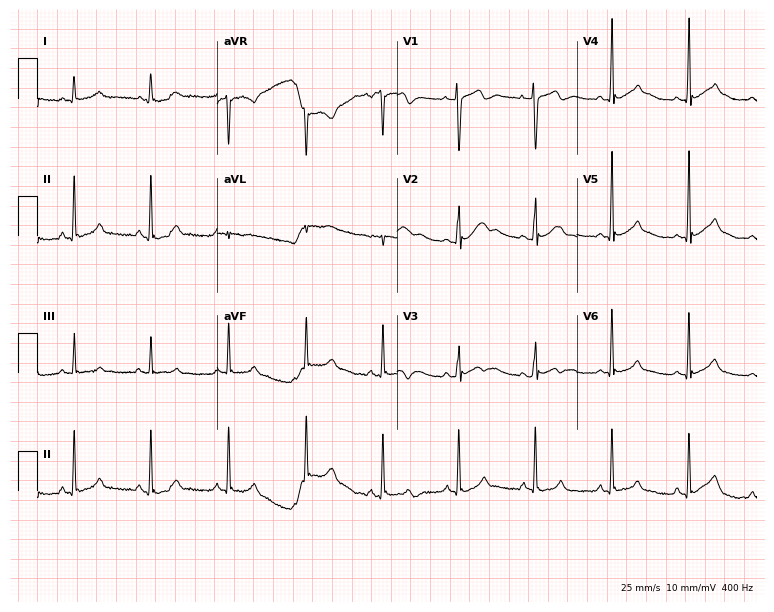
ECG — a male, 23 years old. Screened for six findings — first-degree AV block, right bundle branch block, left bundle branch block, sinus bradycardia, atrial fibrillation, sinus tachycardia — none is recorded. Other findings, if any, are not listed.